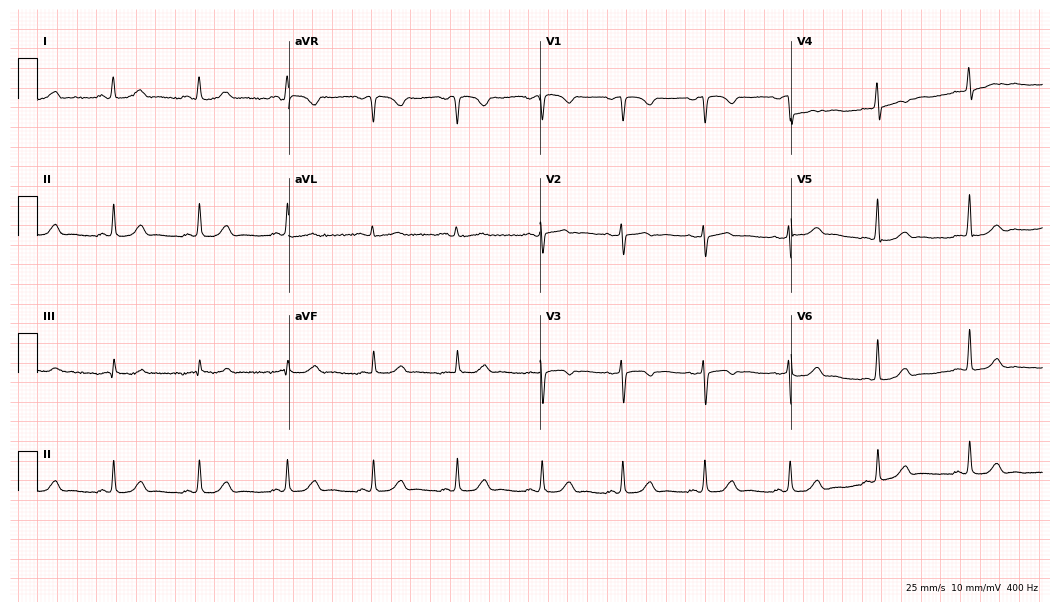
Electrocardiogram (10.2-second recording at 400 Hz), a female patient, 51 years old. Overall reading on record: normal ECG.